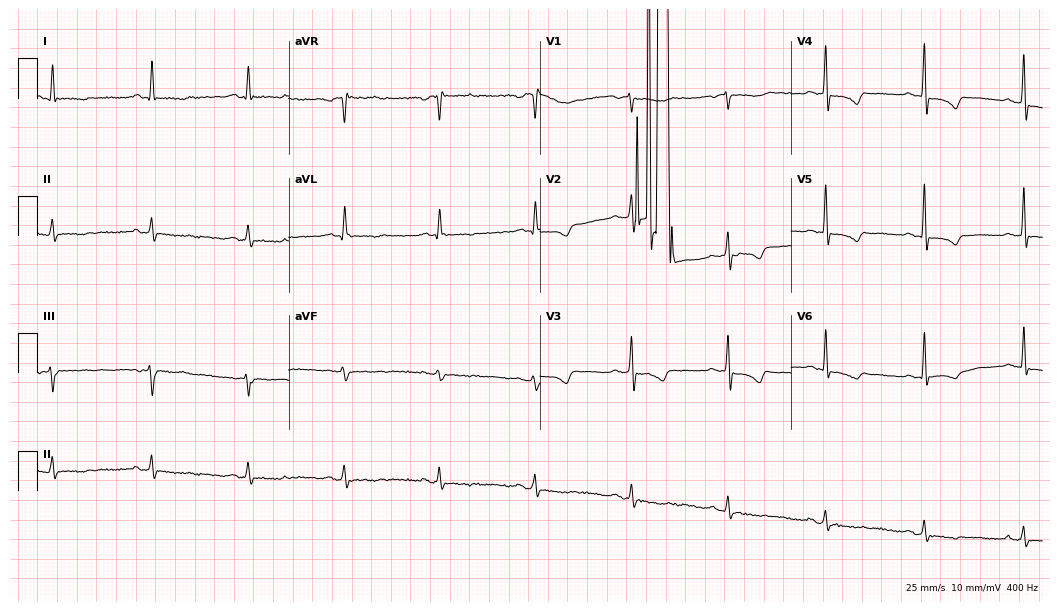
12-lead ECG (10.2-second recording at 400 Hz) from a woman, 71 years old. Screened for six findings — first-degree AV block, right bundle branch block (RBBB), left bundle branch block (LBBB), sinus bradycardia, atrial fibrillation (AF), sinus tachycardia — none is recorded. Other findings, if any, are not listed.